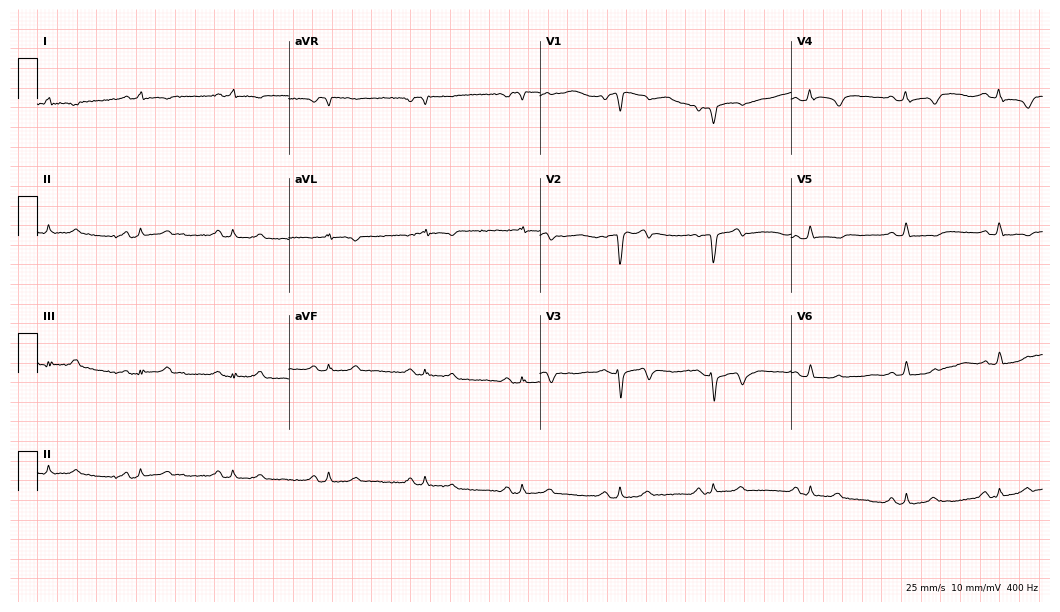
Resting 12-lead electrocardiogram (10.2-second recording at 400 Hz). Patient: a male, 79 years old. None of these six findings is recorded: first-degree AV block, right bundle branch block, left bundle branch block, sinus bradycardia, atrial fibrillation, sinus tachycardia. Only these six findings were labelled.